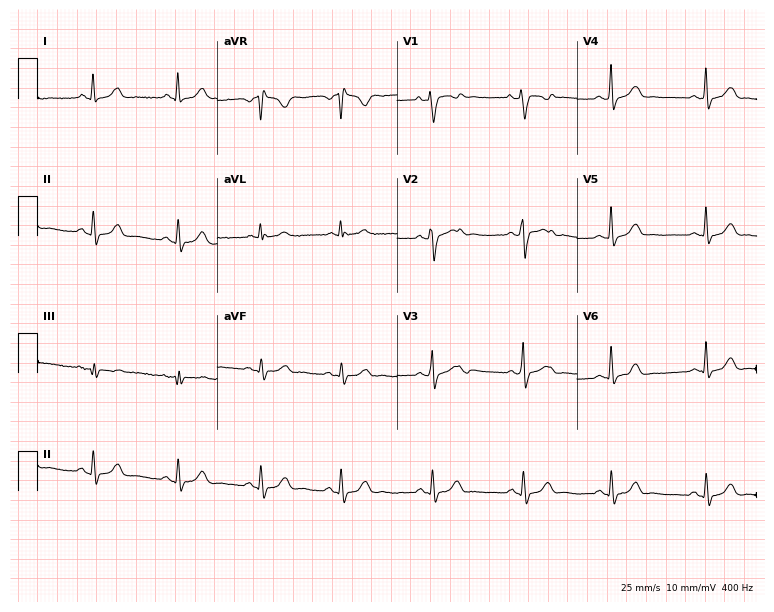
Electrocardiogram, a female patient, 20 years old. Of the six screened findings (first-degree AV block, right bundle branch block, left bundle branch block, sinus bradycardia, atrial fibrillation, sinus tachycardia), none is recorded. Only these six findings were labelled.